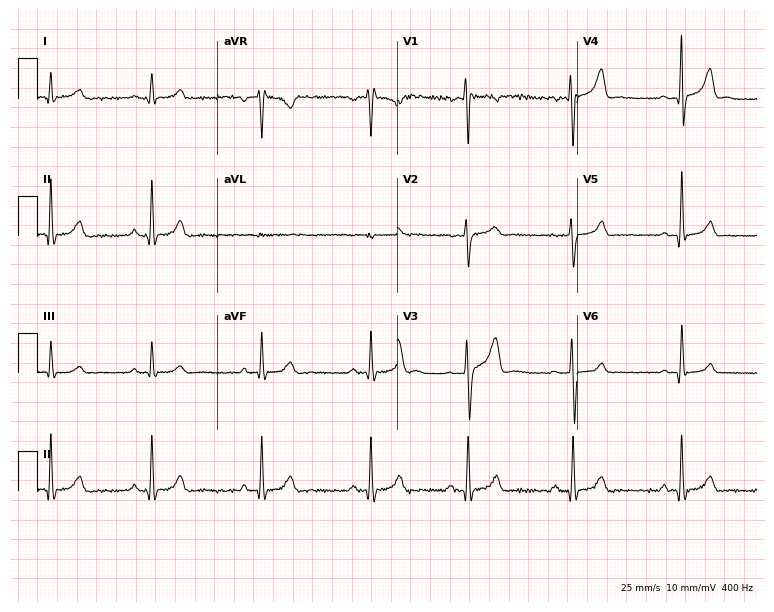
Resting 12-lead electrocardiogram (7.3-second recording at 400 Hz). Patient: a 19-year-old male. Read as a normal ECG.